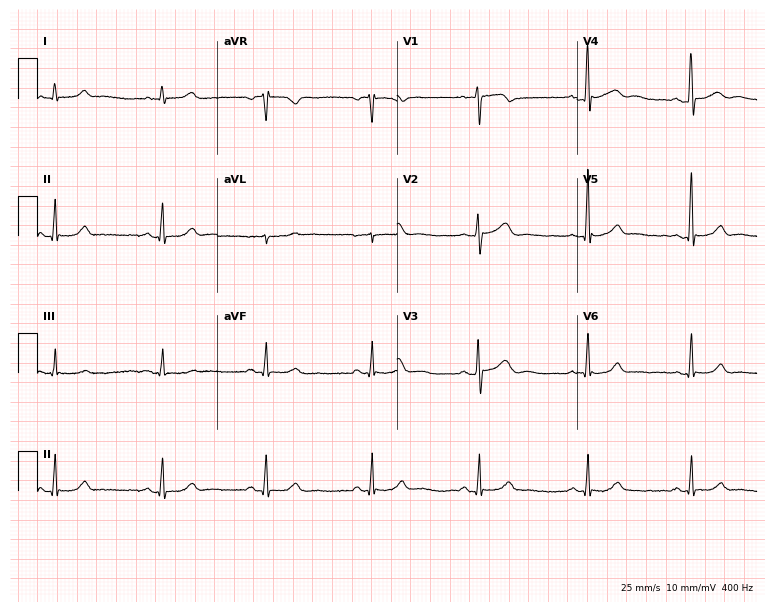
Resting 12-lead electrocardiogram (7.3-second recording at 400 Hz). Patient: a 54-year-old female. None of these six findings is recorded: first-degree AV block, right bundle branch block, left bundle branch block, sinus bradycardia, atrial fibrillation, sinus tachycardia. Findings outside these six are not listed.